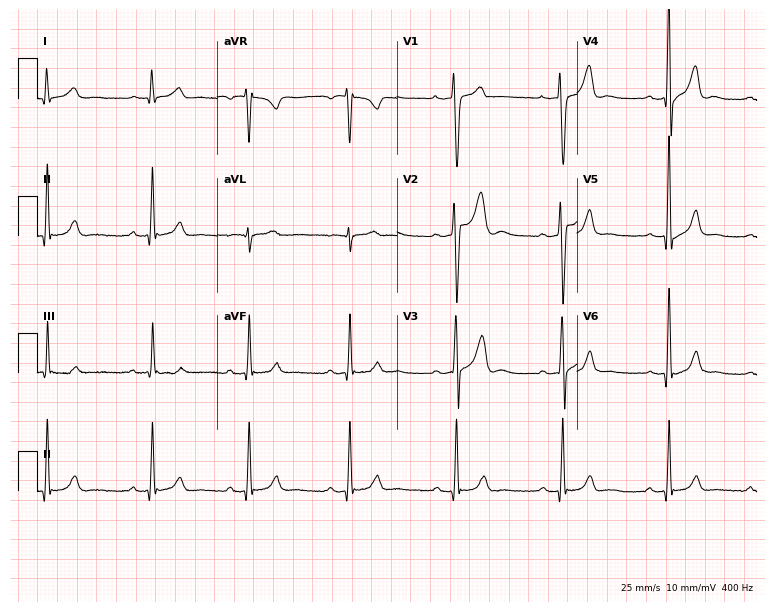
ECG (7.3-second recording at 400 Hz) — a 27-year-old male. Labelled as a normal ECG.